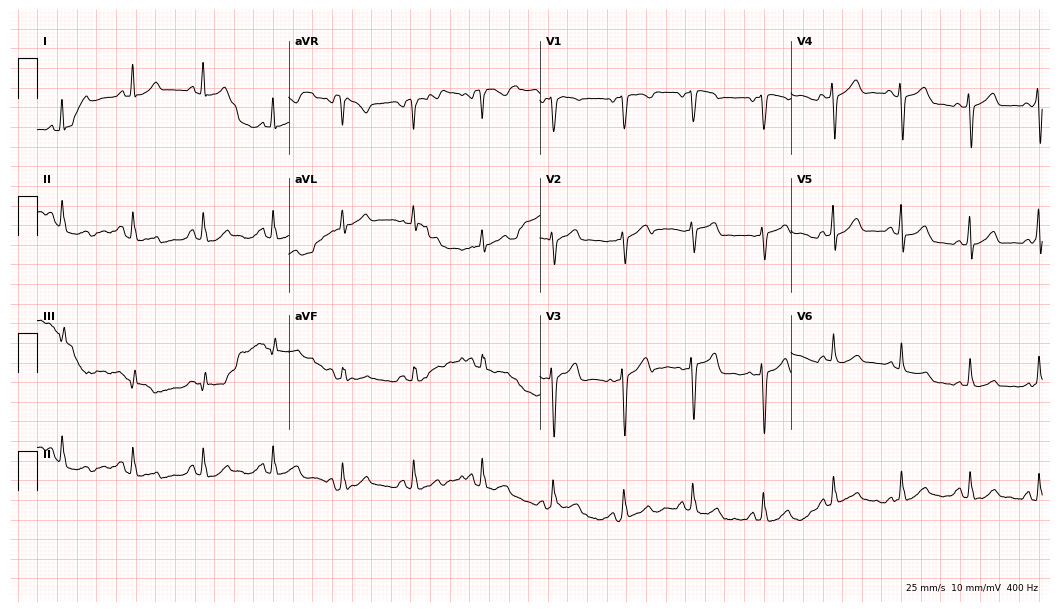
Standard 12-lead ECG recorded from a 33-year-old female. Read as a normal ECG.